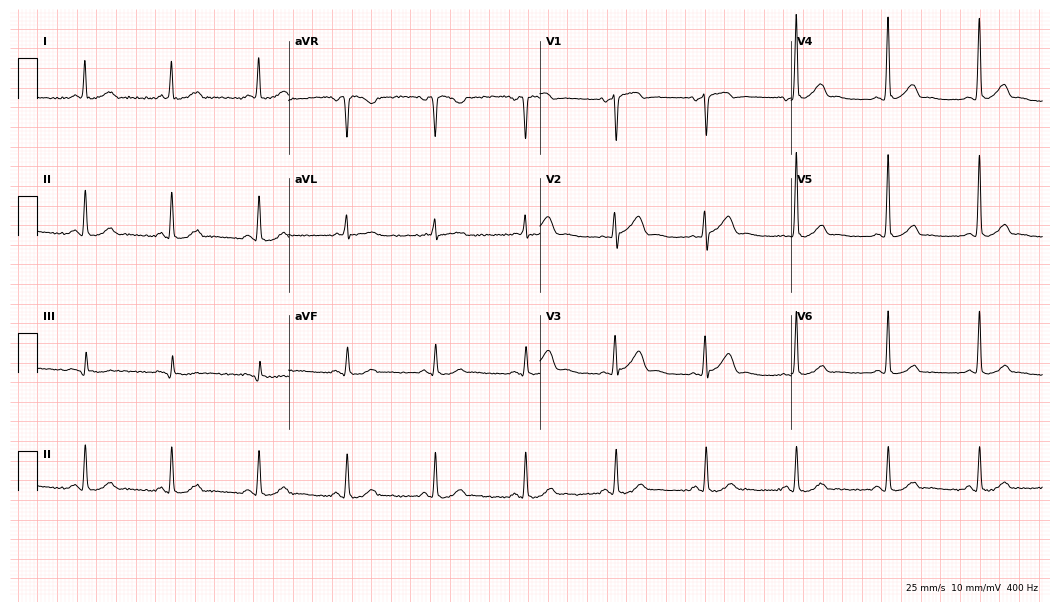
Resting 12-lead electrocardiogram. Patient: a 71-year-old man. Read as a normal ECG.